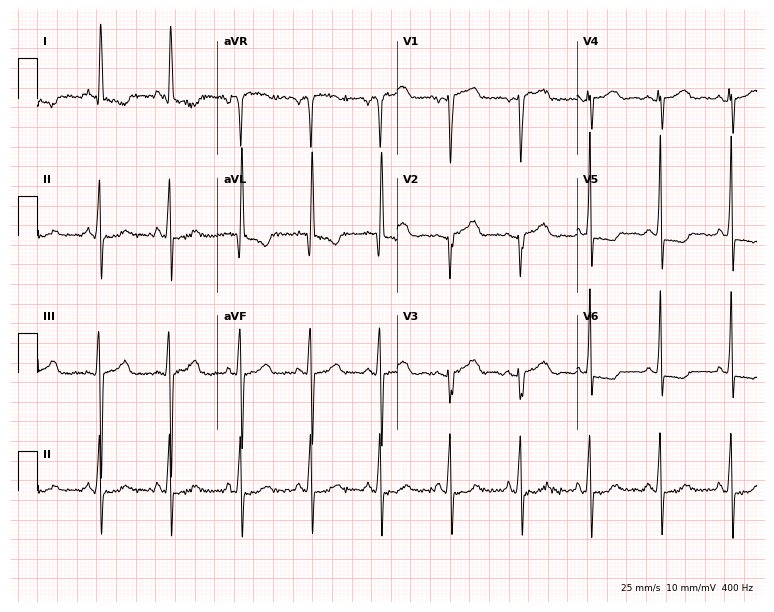
Electrocardiogram (7.3-second recording at 400 Hz), a female, 56 years old. Of the six screened findings (first-degree AV block, right bundle branch block (RBBB), left bundle branch block (LBBB), sinus bradycardia, atrial fibrillation (AF), sinus tachycardia), none is recorded. Other findings, if any, are not listed.